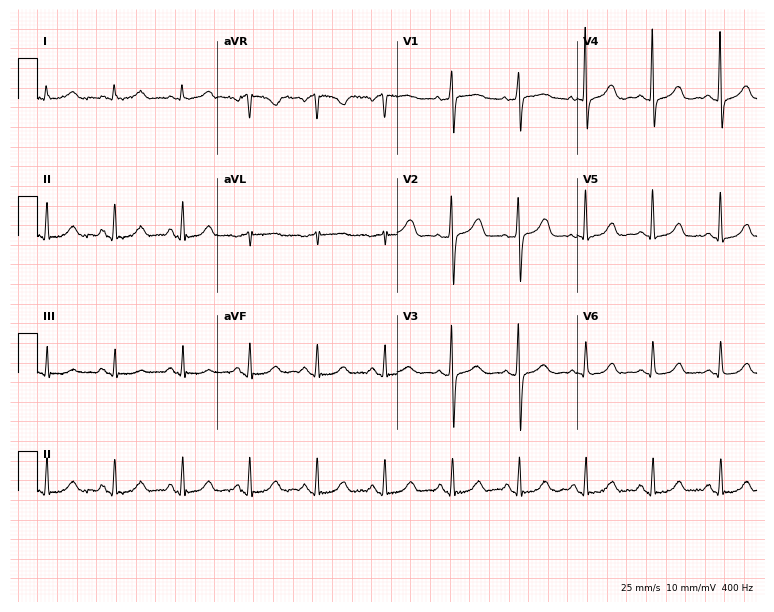
ECG — a female patient, 72 years old. Labelled as a normal ECG.